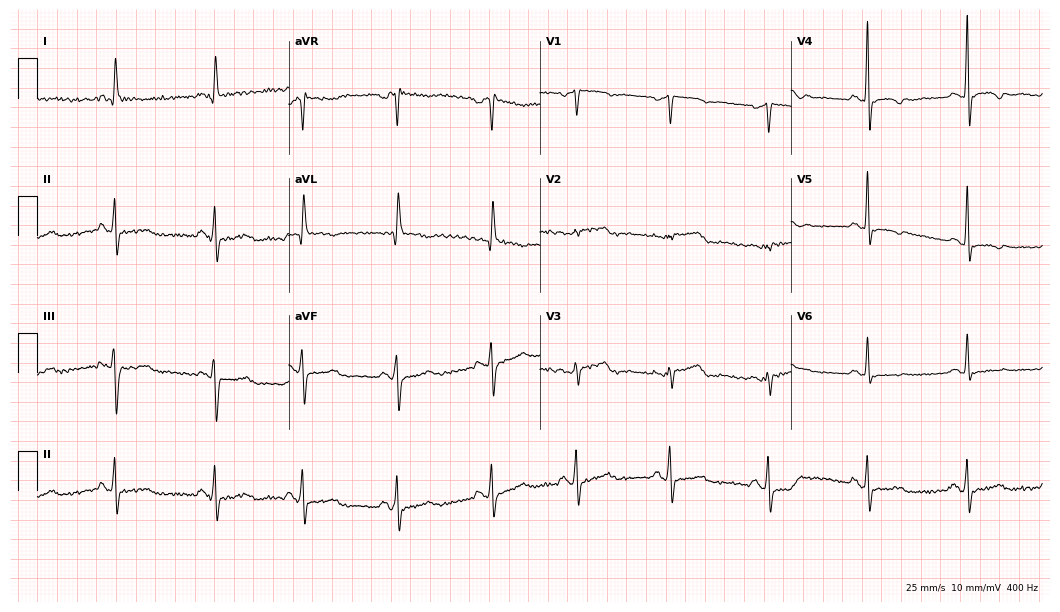
Standard 12-lead ECG recorded from a woman, 65 years old. None of these six findings is recorded: first-degree AV block, right bundle branch block, left bundle branch block, sinus bradycardia, atrial fibrillation, sinus tachycardia. Findings outside these six are not listed.